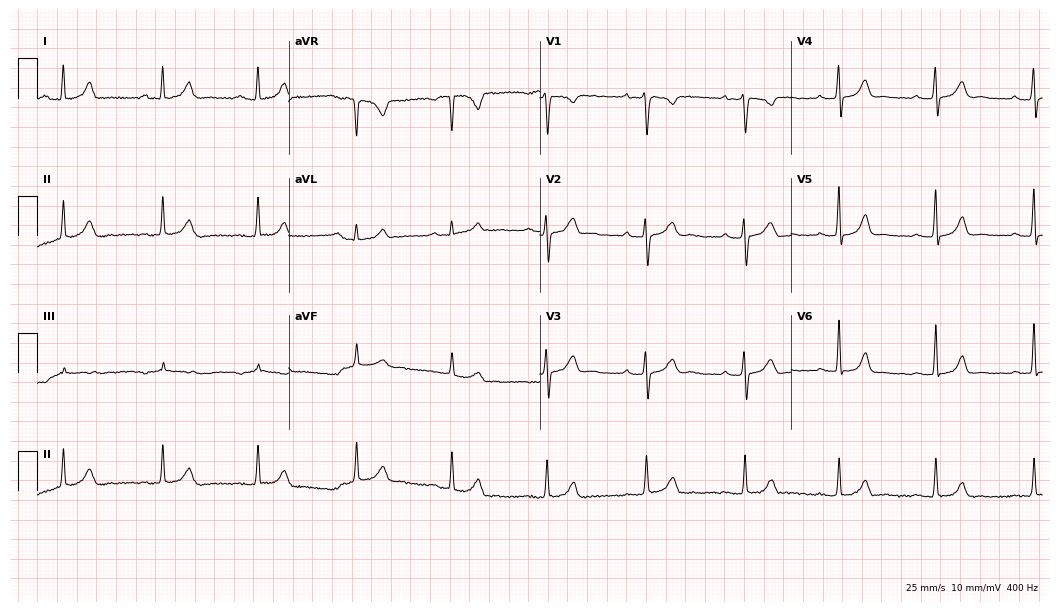
Electrocardiogram, a woman, 38 years old. Overall reading on record: normal ECG.